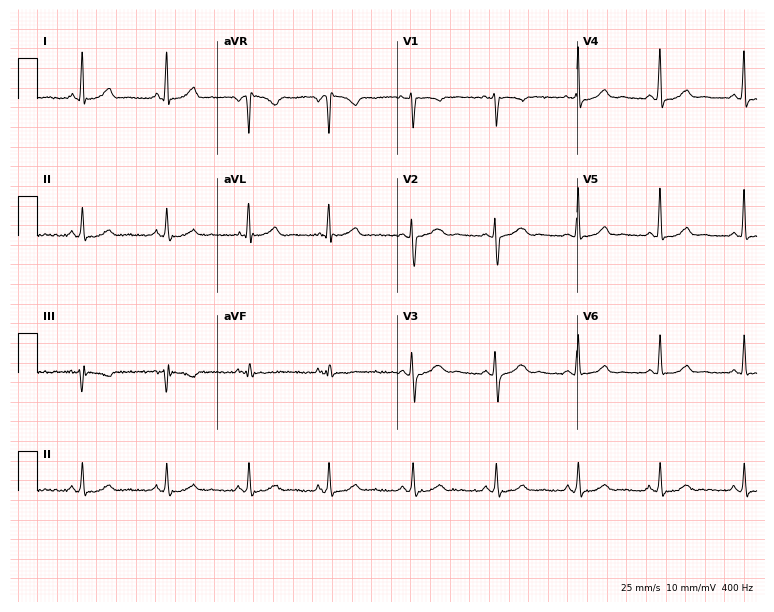
12-lead ECG from a 39-year-old woman (7.3-second recording at 400 Hz). No first-degree AV block, right bundle branch block (RBBB), left bundle branch block (LBBB), sinus bradycardia, atrial fibrillation (AF) or sinus tachycardia recorded for this tracing. Only these six findings were labelled.